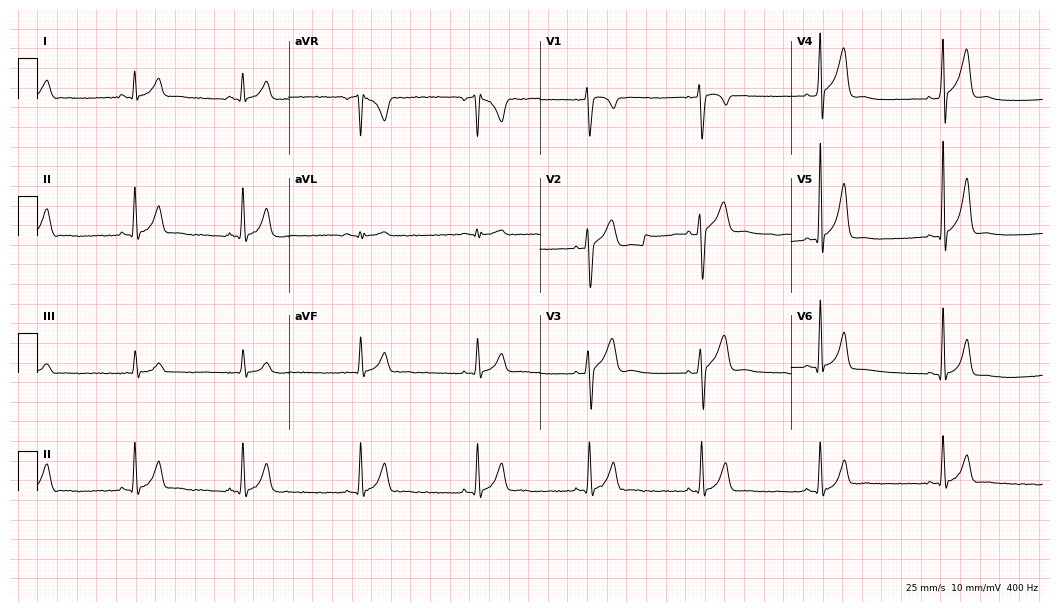
12-lead ECG from a man, 25 years old. Screened for six findings — first-degree AV block, right bundle branch block (RBBB), left bundle branch block (LBBB), sinus bradycardia, atrial fibrillation (AF), sinus tachycardia — none is recorded.